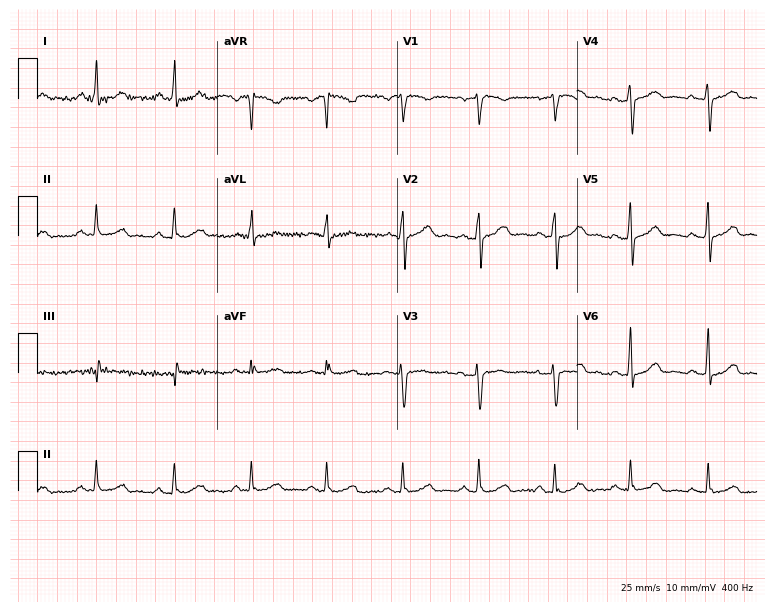
ECG — a 47-year-old female. Labelled as a normal ECG.